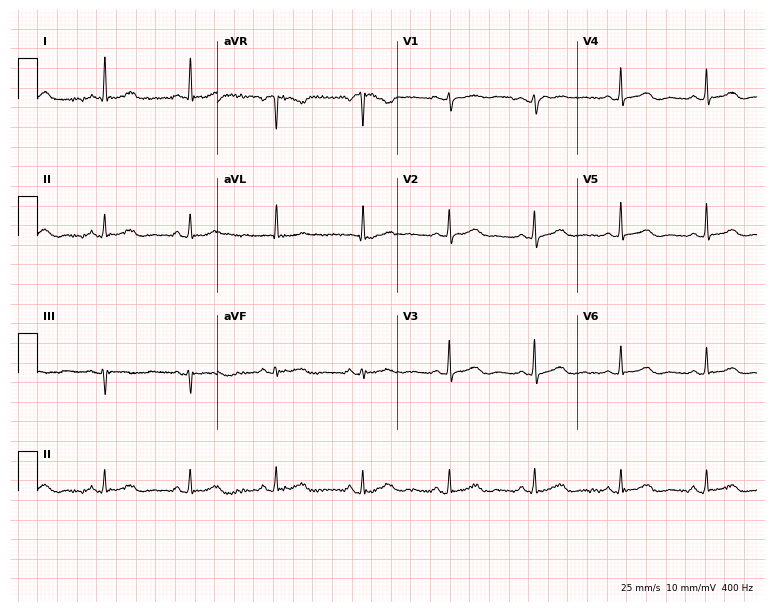
12-lead ECG from a 76-year-old female patient. Screened for six findings — first-degree AV block, right bundle branch block, left bundle branch block, sinus bradycardia, atrial fibrillation, sinus tachycardia — none is recorded.